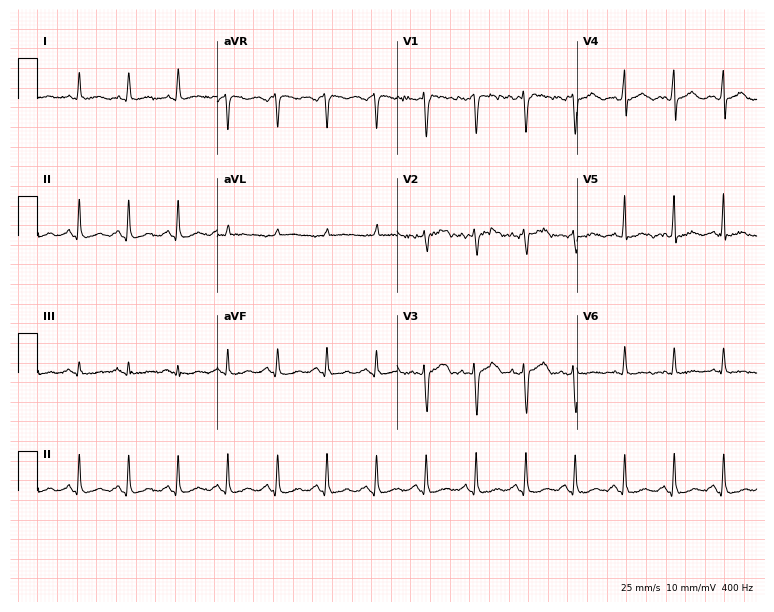
Resting 12-lead electrocardiogram. Patient: a 51-year-old female. The tracing shows sinus tachycardia (a sinus rate of 100 beats per minute or more).